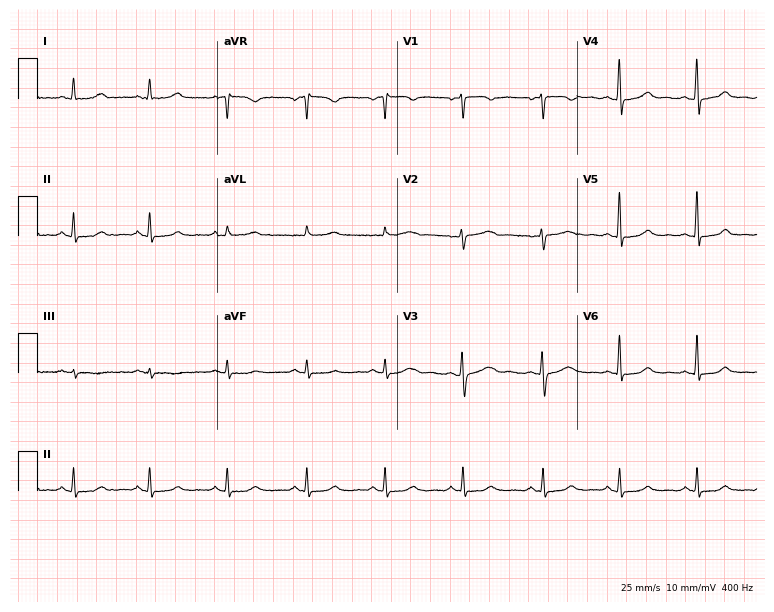
ECG (7.3-second recording at 400 Hz) — a woman, 45 years old. Labelled as a normal ECG.